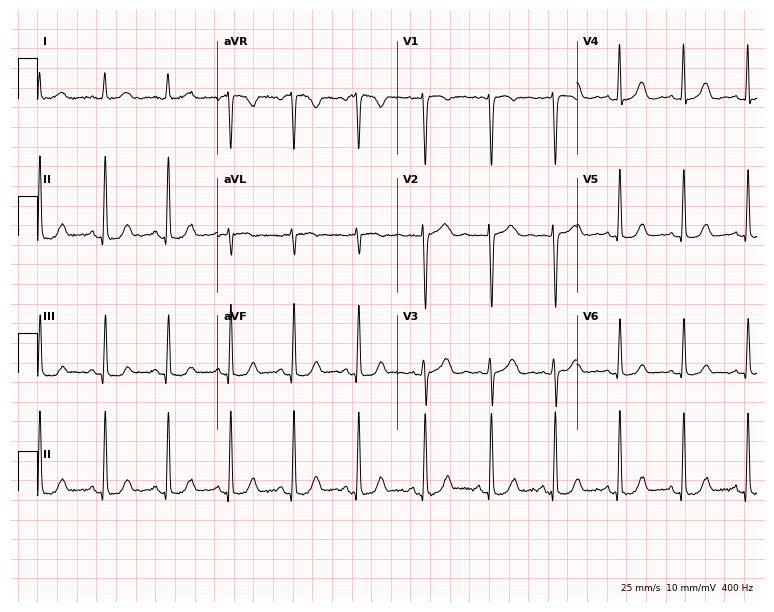
12-lead ECG from a woman, 50 years old (7.3-second recording at 400 Hz). Recorded interpretation: within normal limits.